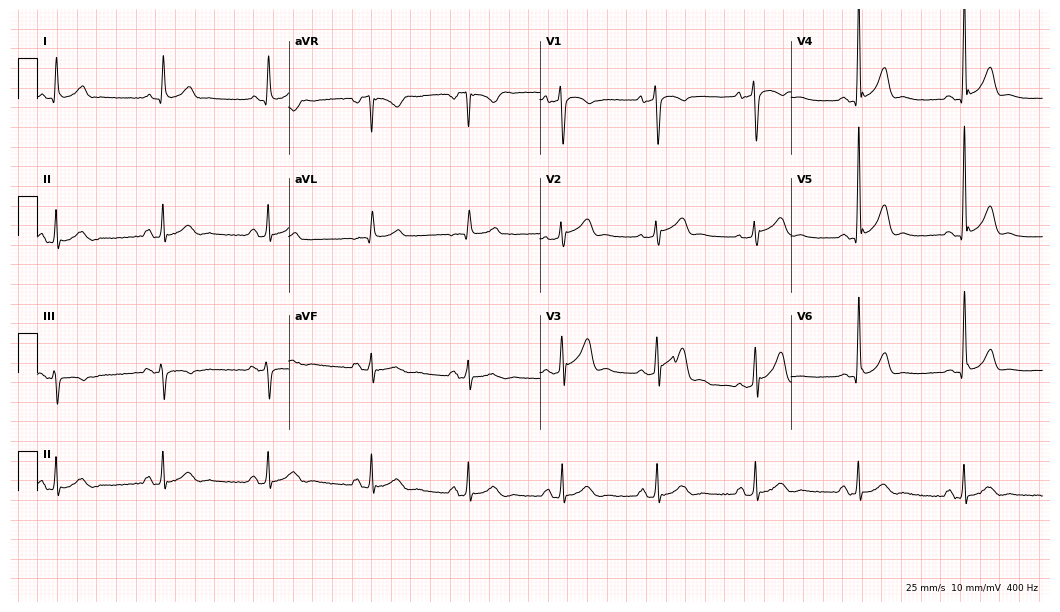
Resting 12-lead electrocardiogram (10.2-second recording at 400 Hz). Patient: a 69-year-old man. Read as a normal ECG.